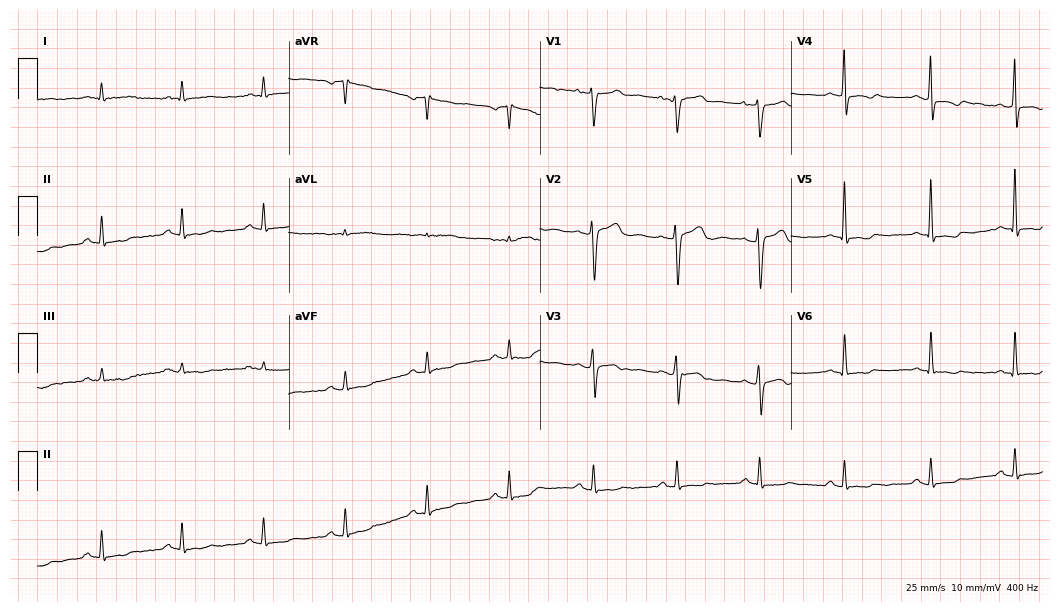
12-lead ECG from a male, 42 years old. Screened for six findings — first-degree AV block, right bundle branch block, left bundle branch block, sinus bradycardia, atrial fibrillation, sinus tachycardia — none is recorded.